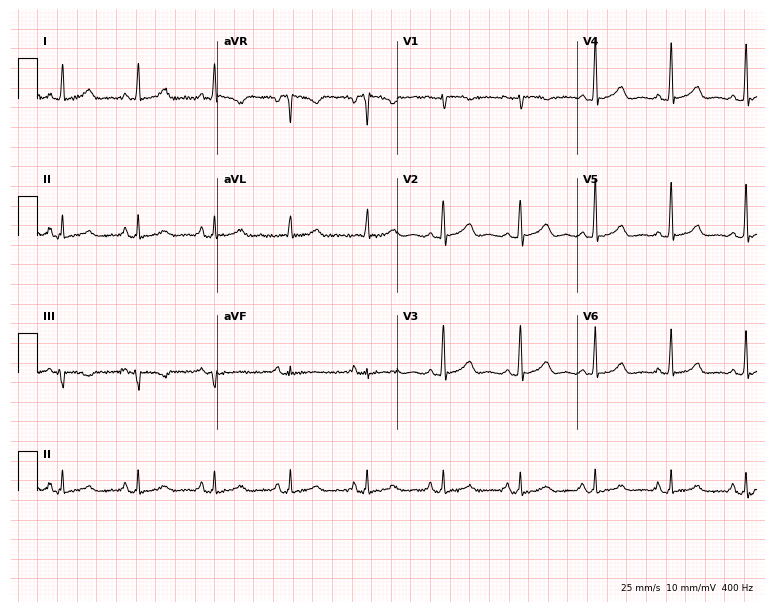
12-lead ECG from a female, 70 years old (7.3-second recording at 400 Hz). No first-degree AV block, right bundle branch block, left bundle branch block, sinus bradycardia, atrial fibrillation or sinus tachycardia recorded for this tracing.